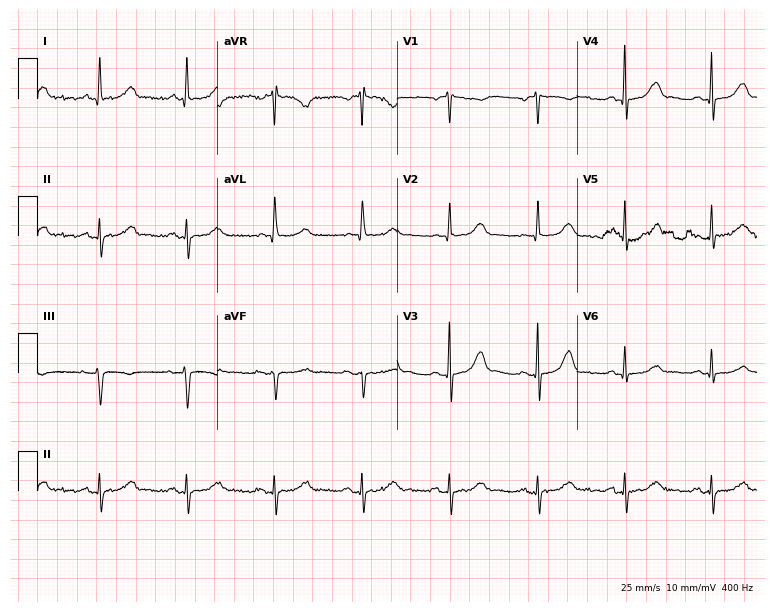
Electrocardiogram (7.3-second recording at 400 Hz), a female patient, 77 years old. Overall reading on record: normal ECG.